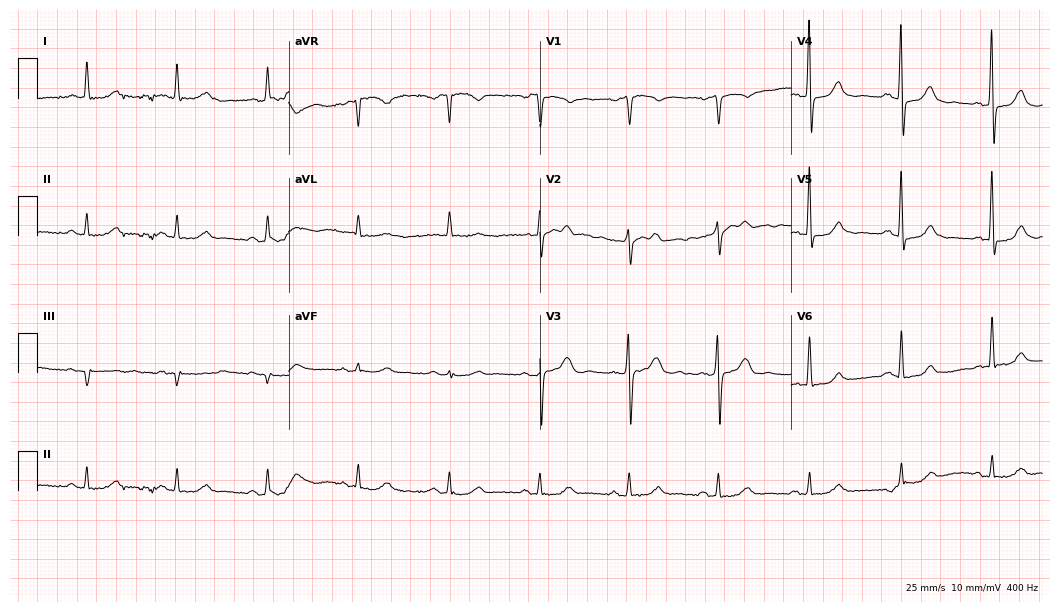
Standard 12-lead ECG recorded from a male, 83 years old. None of these six findings is recorded: first-degree AV block, right bundle branch block (RBBB), left bundle branch block (LBBB), sinus bradycardia, atrial fibrillation (AF), sinus tachycardia. Only these six findings were labelled.